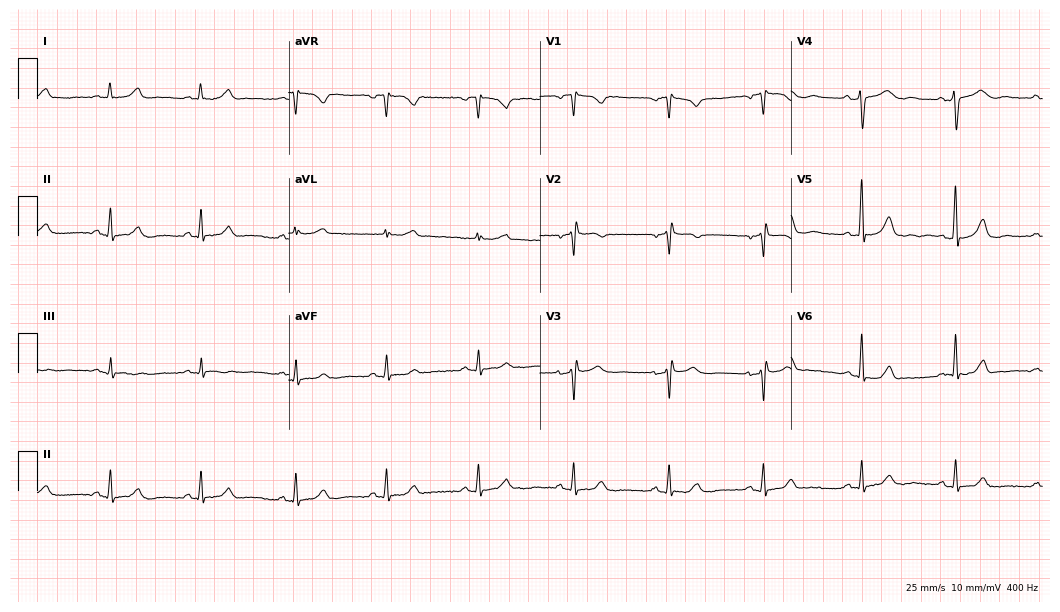
Electrocardiogram (10.2-second recording at 400 Hz), a 54-year-old female. Of the six screened findings (first-degree AV block, right bundle branch block, left bundle branch block, sinus bradycardia, atrial fibrillation, sinus tachycardia), none is recorded.